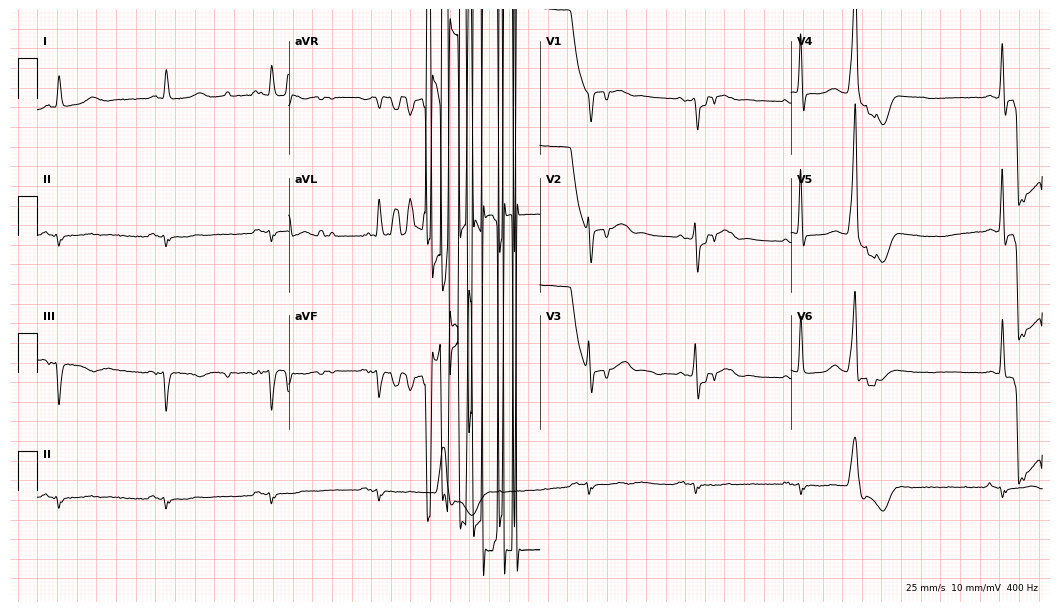
Electrocardiogram (10.2-second recording at 400 Hz), a male, 85 years old. Of the six screened findings (first-degree AV block, right bundle branch block, left bundle branch block, sinus bradycardia, atrial fibrillation, sinus tachycardia), none is recorded. Findings outside these six are not listed.